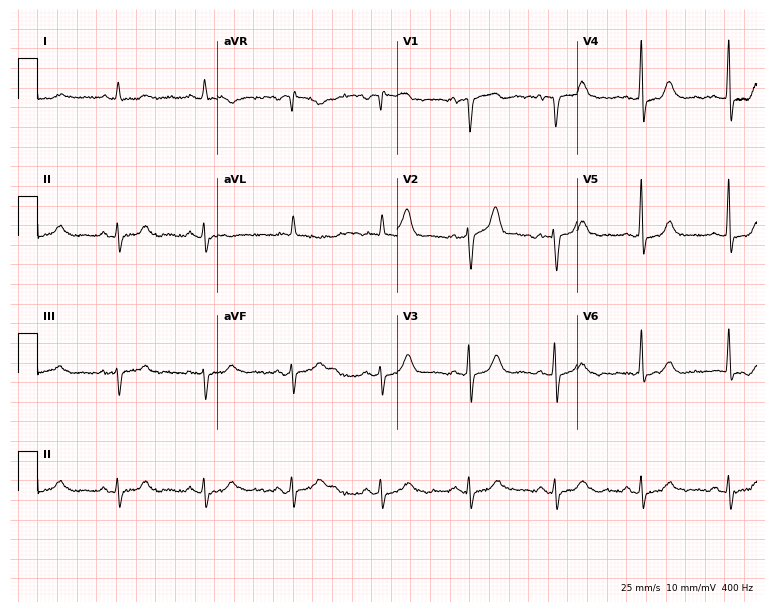
Electrocardiogram (7.3-second recording at 400 Hz), a woman, 76 years old. Of the six screened findings (first-degree AV block, right bundle branch block, left bundle branch block, sinus bradycardia, atrial fibrillation, sinus tachycardia), none is recorded. Only these six findings were labelled.